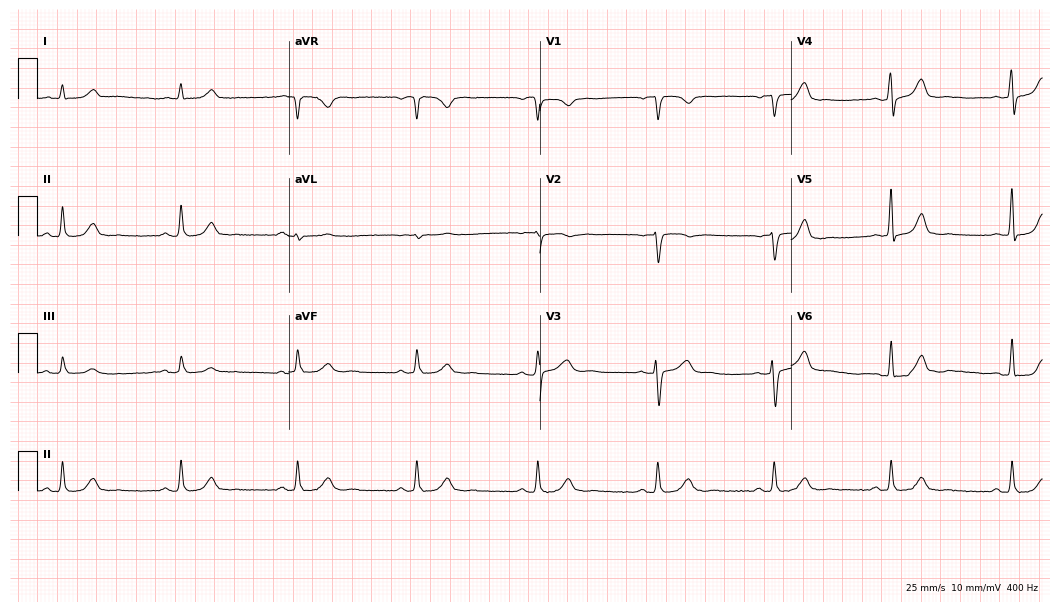
ECG — a 61-year-old male patient. Labelled as a normal ECG.